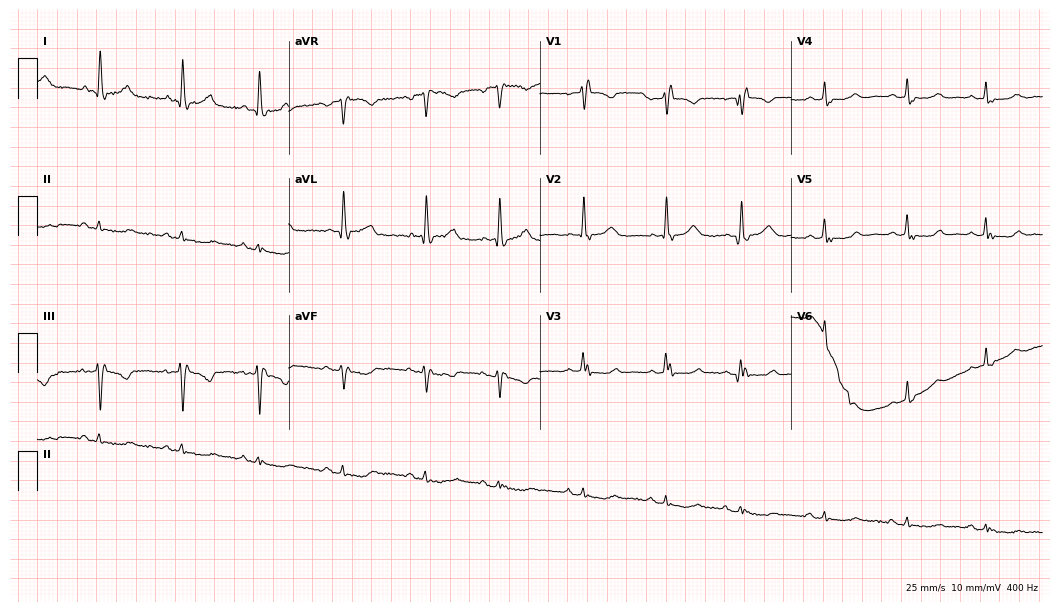
Resting 12-lead electrocardiogram. Patient: a female, 78 years old. None of these six findings is recorded: first-degree AV block, right bundle branch block, left bundle branch block, sinus bradycardia, atrial fibrillation, sinus tachycardia. Other findings, if any, are not listed.